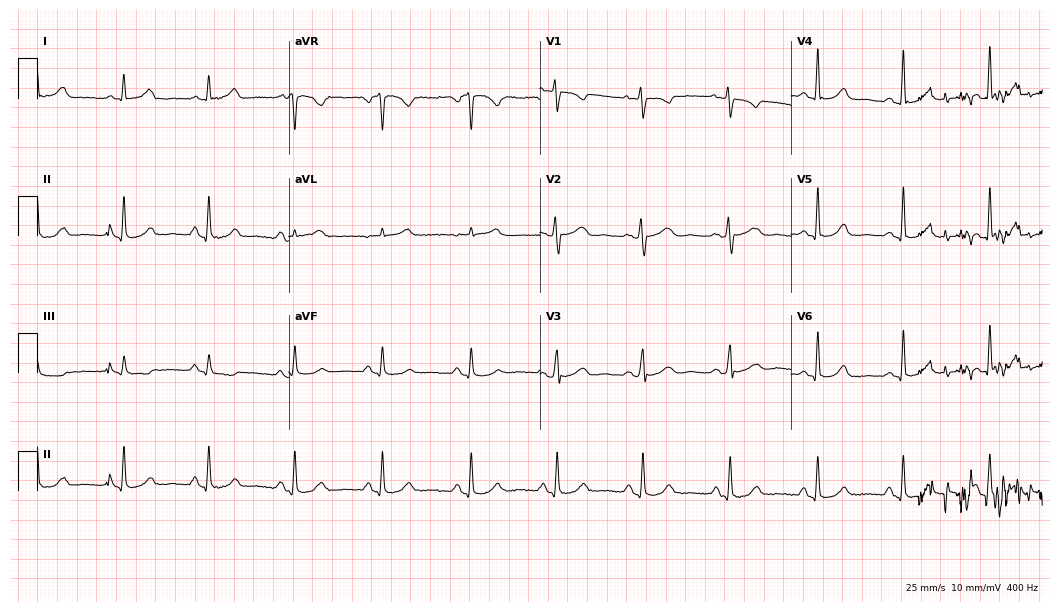
Resting 12-lead electrocardiogram. Patient: a female, 48 years old. None of these six findings is recorded: first-degree AV block, right bundle branch block, left bundle branch block, sinus bradycardia, atrial fibrillation, sinus tachycardia. Findings outside these six are not listed.